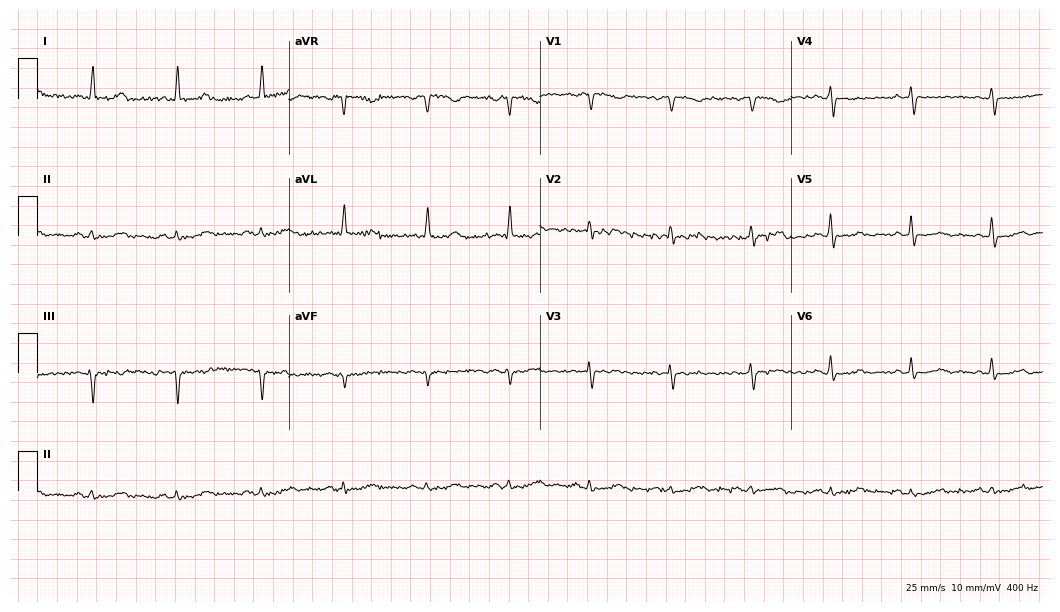
12-lead ECG from a female, 70 years old (10.2-second recording at 400 Hz). Recorded interpretation: within normal limits.